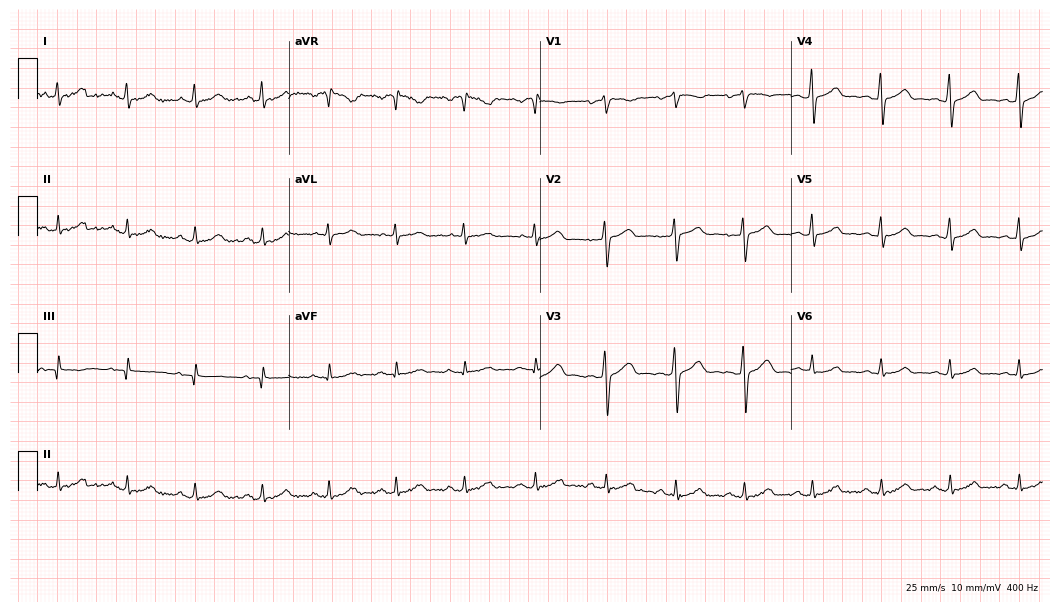
Resting 12-lead electrocardiogram. Patient: a 44-year-old man. Read as a normal ECG.